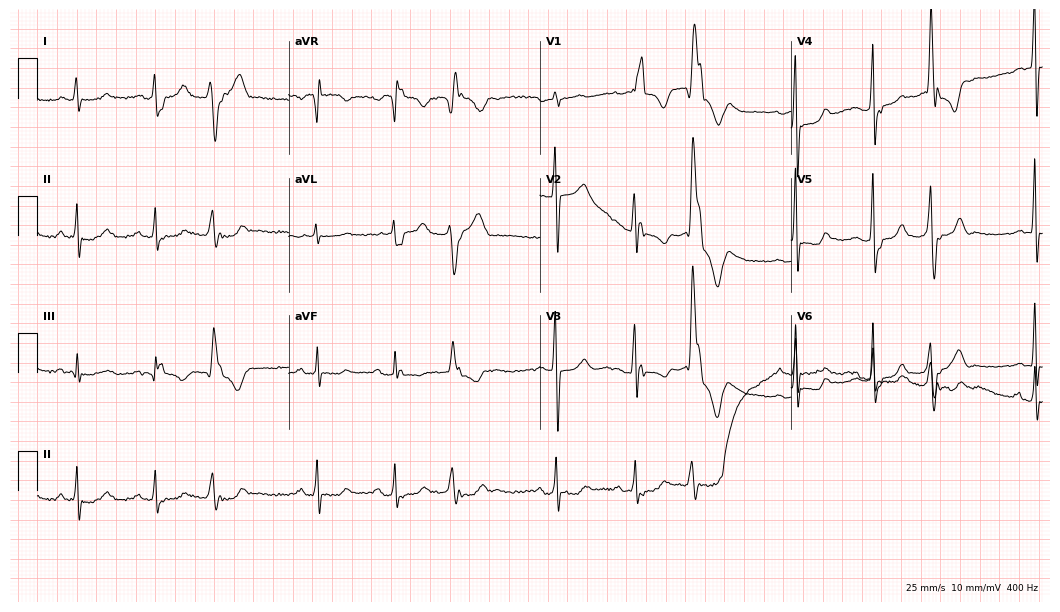
12-lead ECG (10.2-second recording at 400 Hz) from a woman, 78 years old. Screened for six findings — first-degree AV block, right bundle branch block, left bundle branch block, sinus bradycardia, atrial fibrillation, sinus tachycardia — none is recorded.